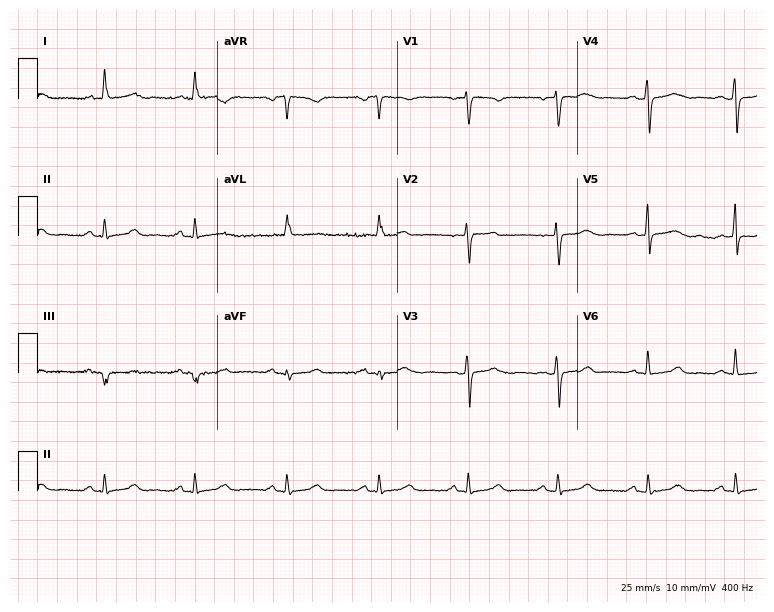
Electrocardiogram, a 71-year-old female patient. Of the six screened findings (first-degree AV block, right bundle branch block (RBBB), left bundle branch block (LBBB), sinus bradycardia, atrial fibrillation (AF), sinus tachycardia), none is recorded. Findings outside these six are not listed.